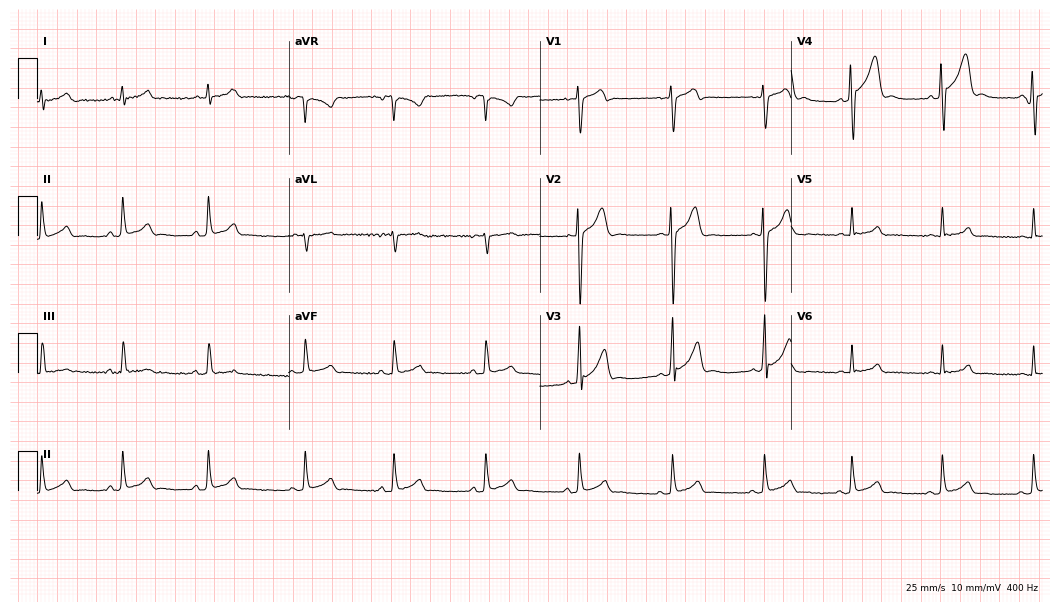
Electrocardiogram, a male patient, 19 years old. Overall reading on record: normal ECG.